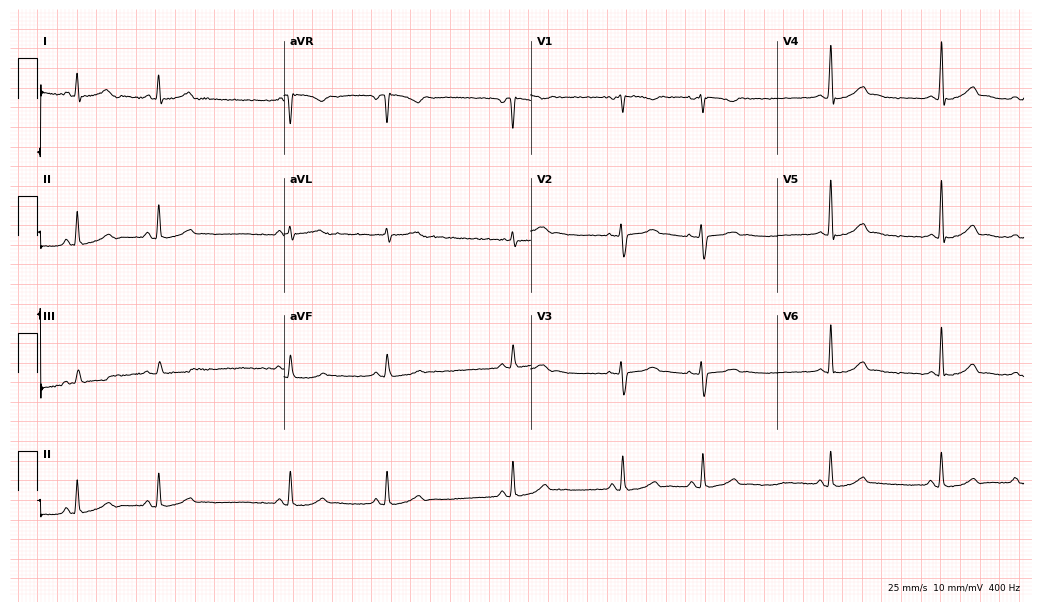
12-lead ECG from a woman, 29 years old (10.1-second recording at 400 Hz). Recorded interpretation: within normal limits.